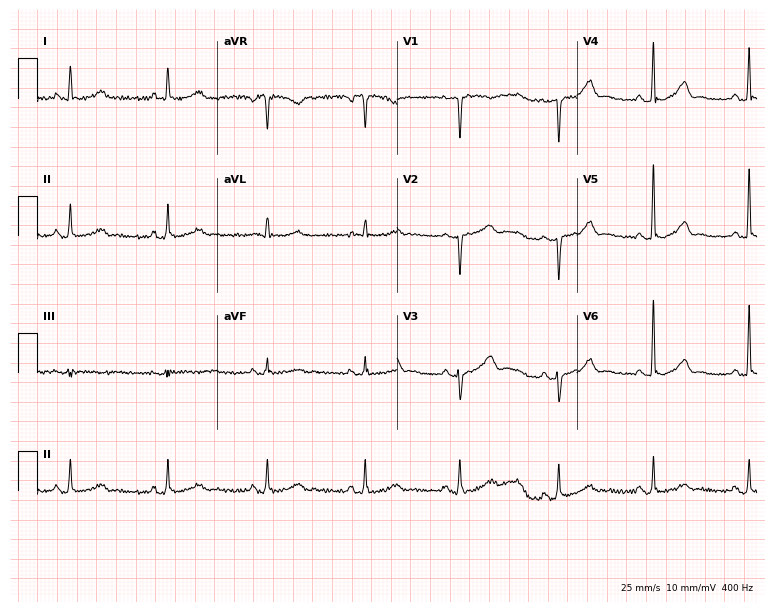
Electrocardiogram (7.3-second recording at 400 Hz), a 39-year-old female. Overall reading on record: normal ECG.